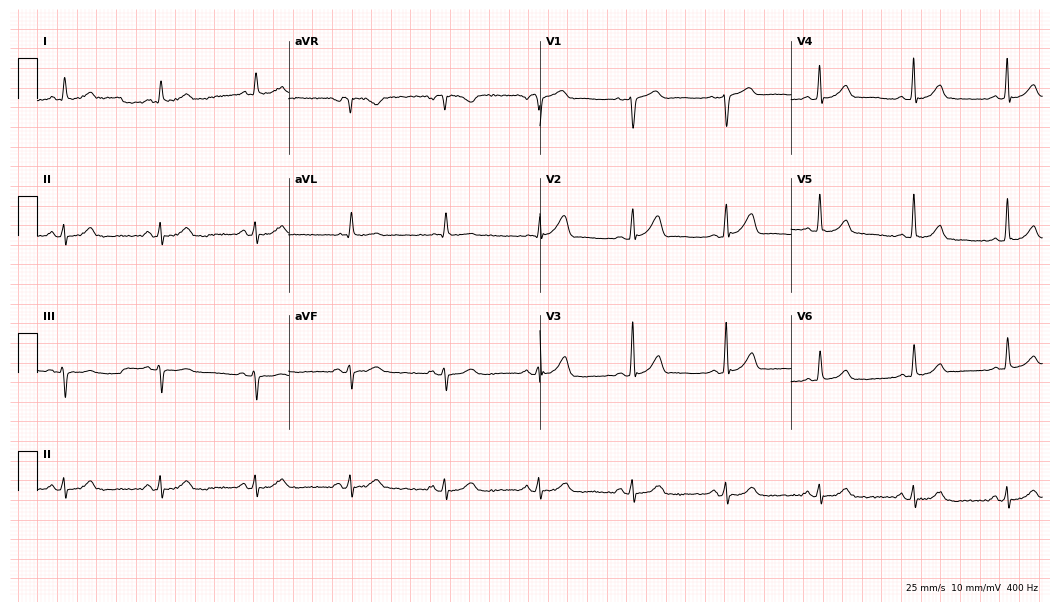
Standard 12-lead ECG recorded from a 75-year-old man (10.2-second recording at 400 Hz). Read as a normal ECG.